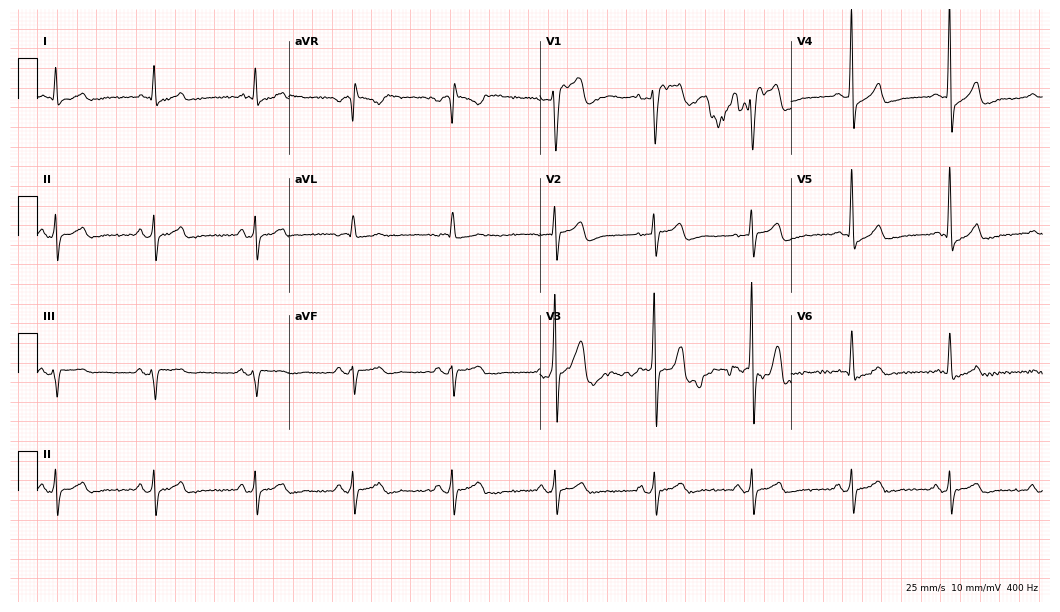
Electrocardiogram (10.2-second recording at 400 Hz), a 53-year-old male. Of the six screened findings (first-degree AV block, right bundle branch block (RBBB), left bundle branch block (LBBB), sinus bradycardia, atrial fibrillation (AF), sinus tachycardia), none is recorded. Findings outside these six are not listed.